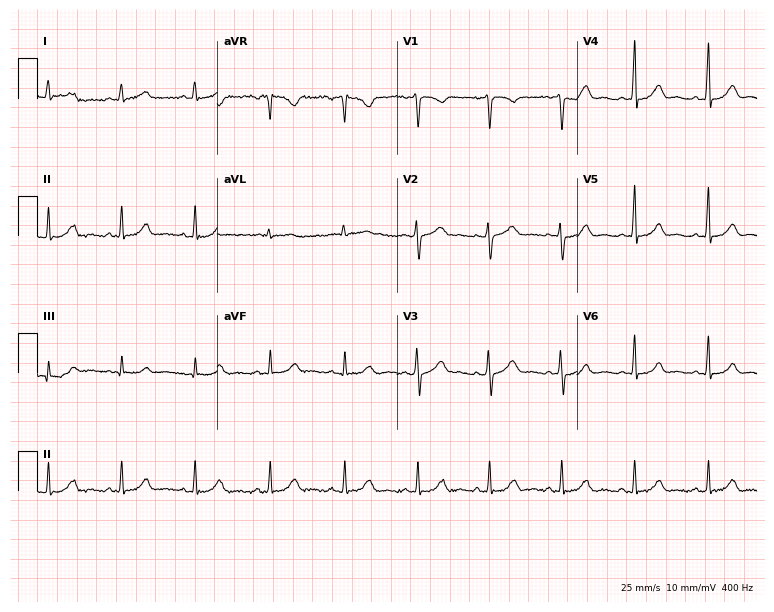
Standard 12-lead ECG recorded from a 30-year-old woman. None of these six findings is recorded: first-degree AV block, right bundle branch block, left bundle branch block, sinus bradycardia, atrial fibrillation, sinus tachycardia. Other findings, if any, are not listed.